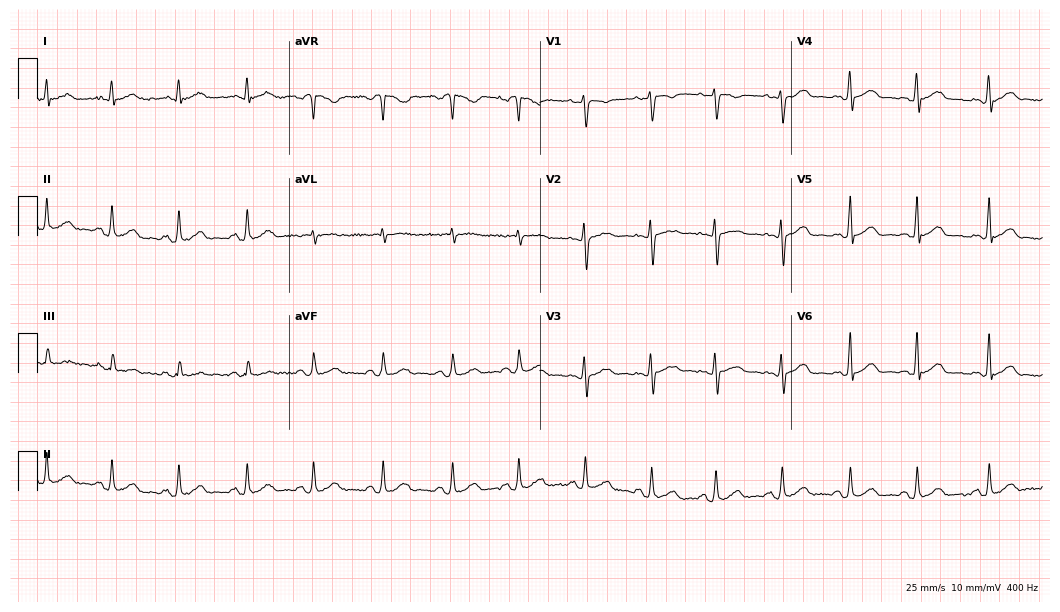
Electrocardiogram, a female patient, 22 years old. Overall reading on record: normal ECG.